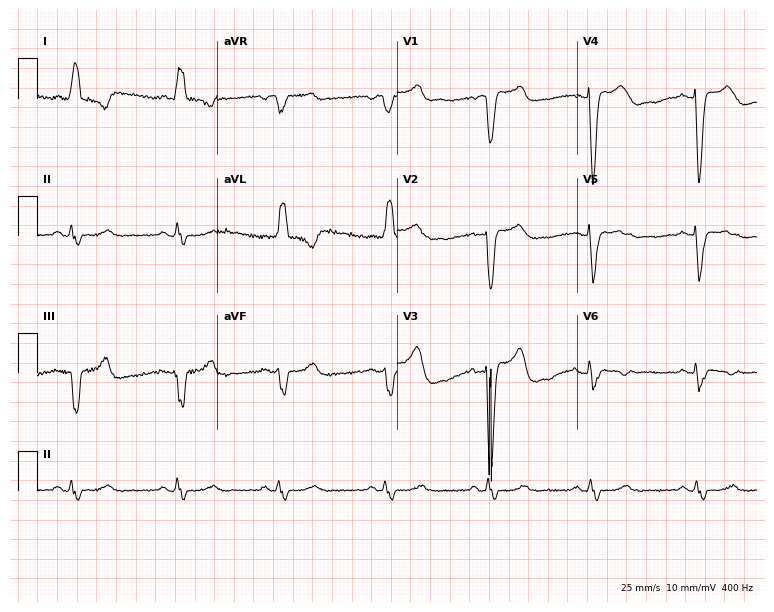
12-lead ECG from a woman, 78 years old. Shows left bundle branch block.